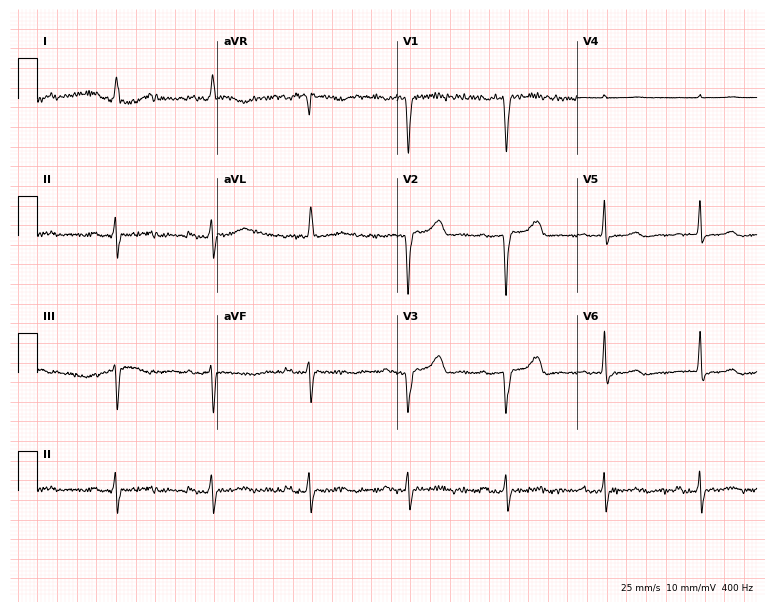
Electrocardiogram, a female patient, 81 years old. Of the six screened findings (first-degree AV block, right bundle branch block, left bundle branch block, sinus bradycardia, atrial fibrillation, sinus tachycardia), none is recorded. Only these six findings were labelled.